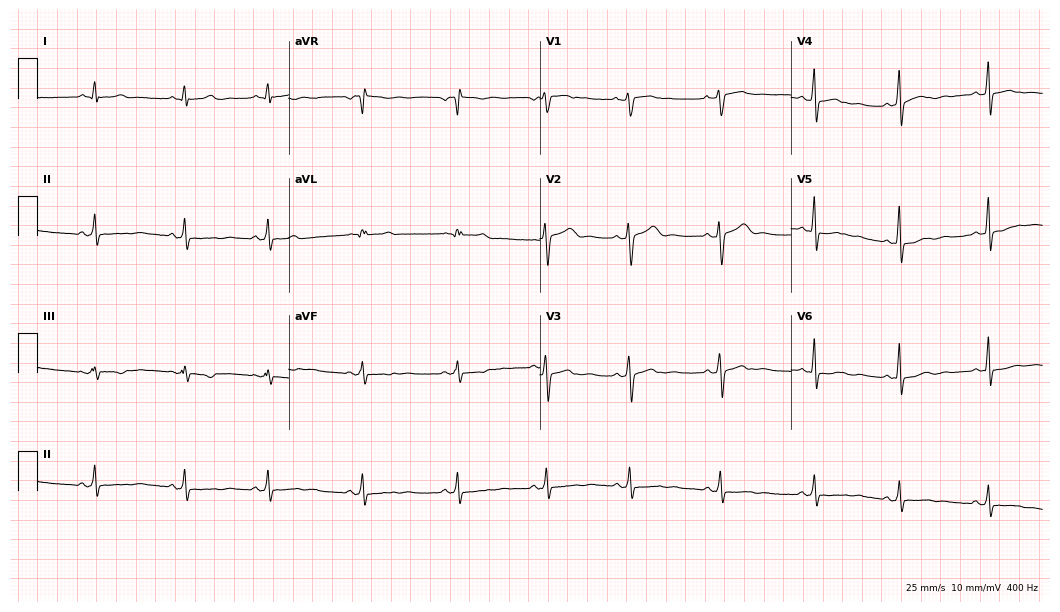
12-lead ECG from a 29-year-old female patient. No first-degree AV block, right bundle branch block, left bundle branch block, sinus bradycardia, atrial fibrillation or sinus tachycardia recorded for this tracing. Only these six findings were labelled.